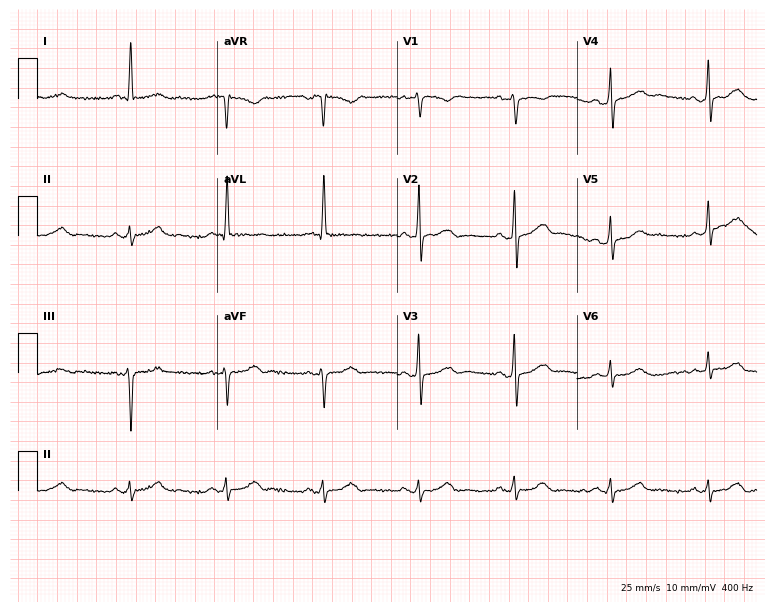
Standard 12-lead ECG recorded from an 82-year-old man. Read as a normal ECG.